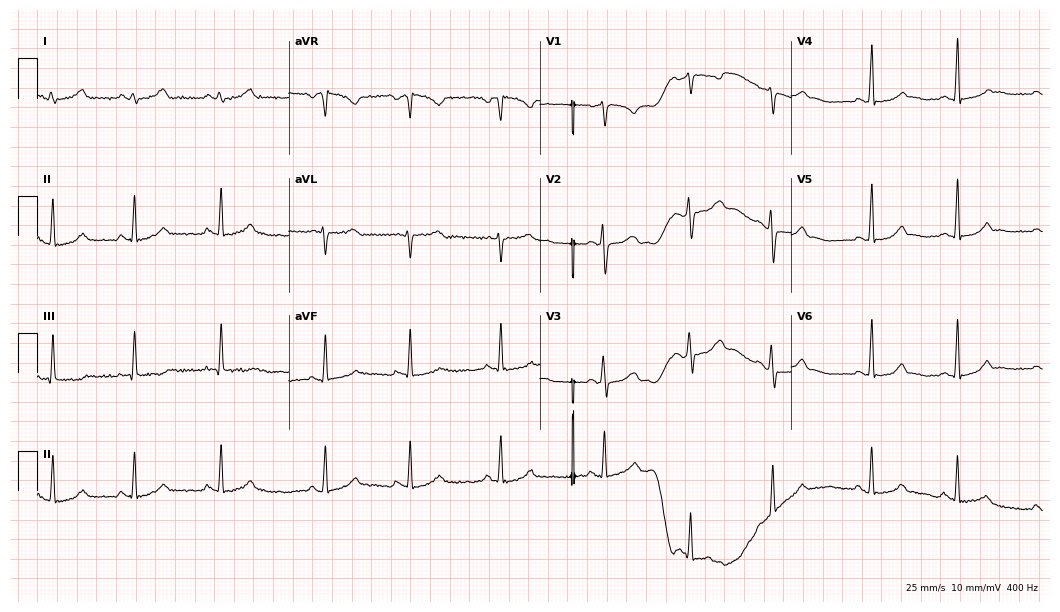
Standard 12-lead ECG recorded from a 20-year-old female. Read as a normal ECG.